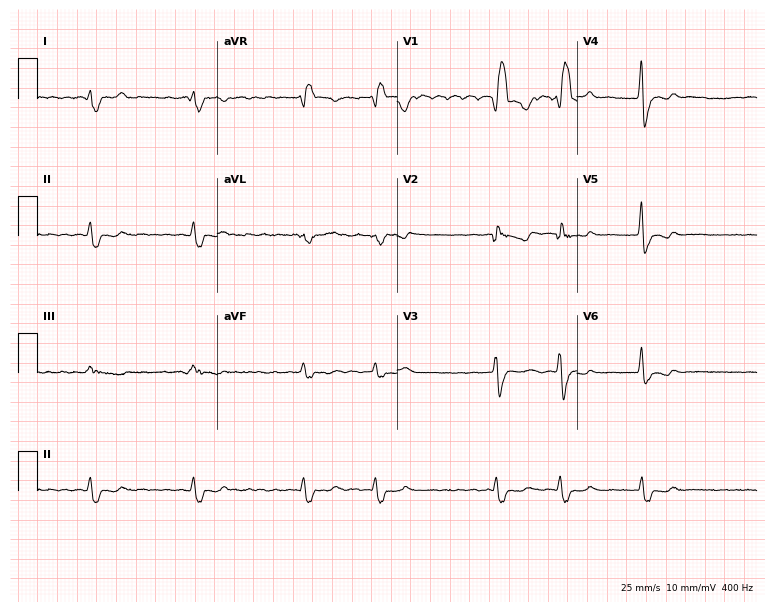
Standard 12-lead ECG recorded from a 57-year-old male (7.3-second recording at 400 Hz). The tracing shows right bundle branch block, atrial fibrillation.